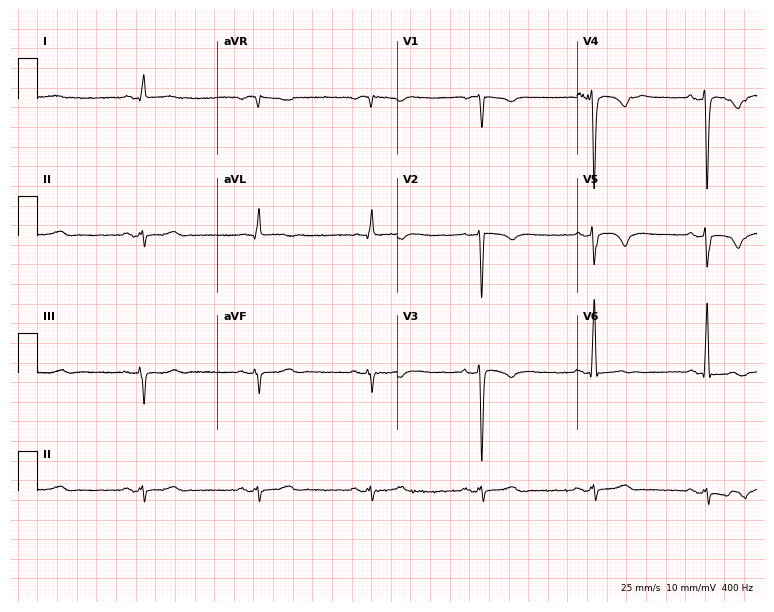
Resting 12-lead electrocardiogram. Patient: a man, 70 years old. None of these six findings is recorded: first-degree AV block, right bundle branch block, left bundle branch block, sinus bradycardia, atrial fibrillation, sinus tachycardia.